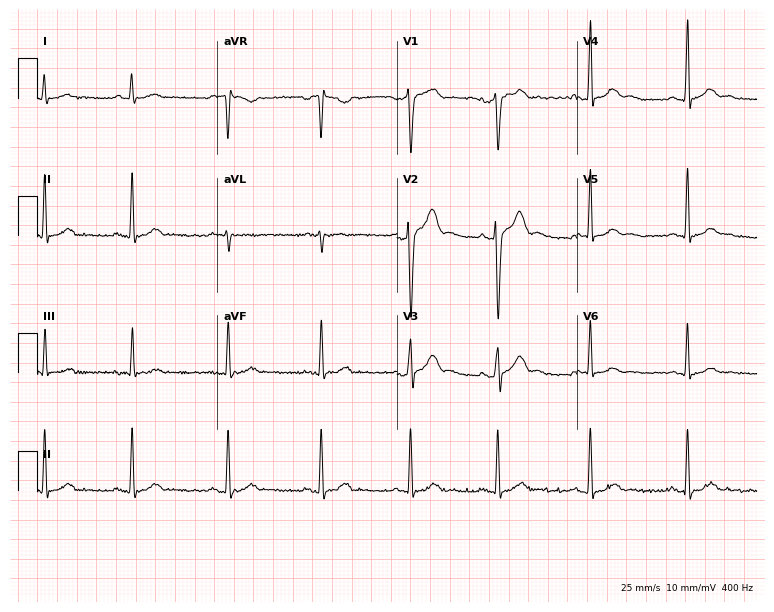
Electrocardiogram (7.3-second recording at 400 Hz), a male patient, 27 years old. Overall reading on record: normal ECG.